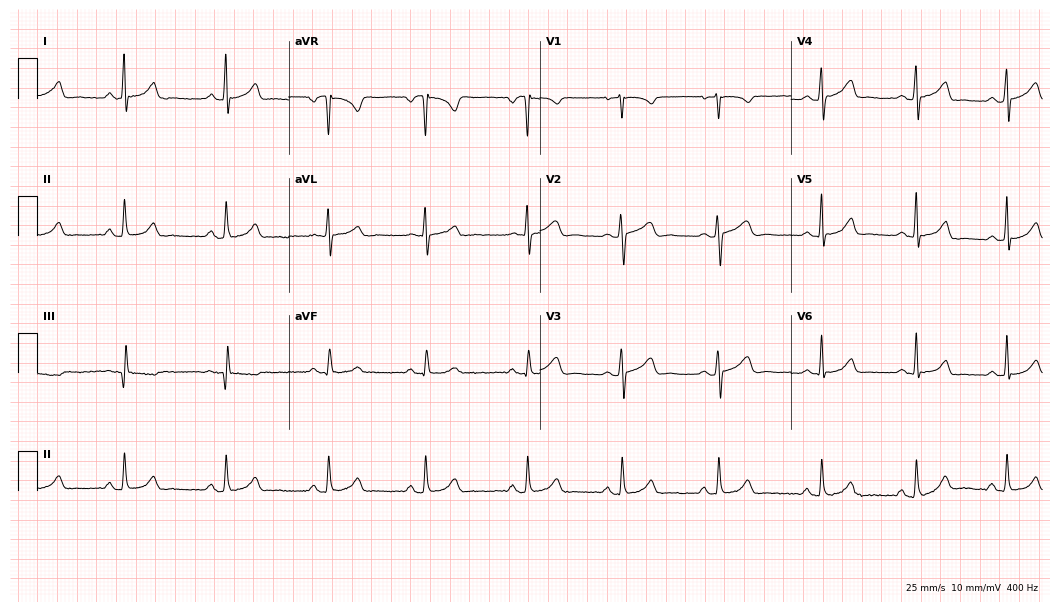
12-lead ECG from a woman, 24 years old (10.2-second recording at 400 Hz). Recorded interpretation: within normal limits.